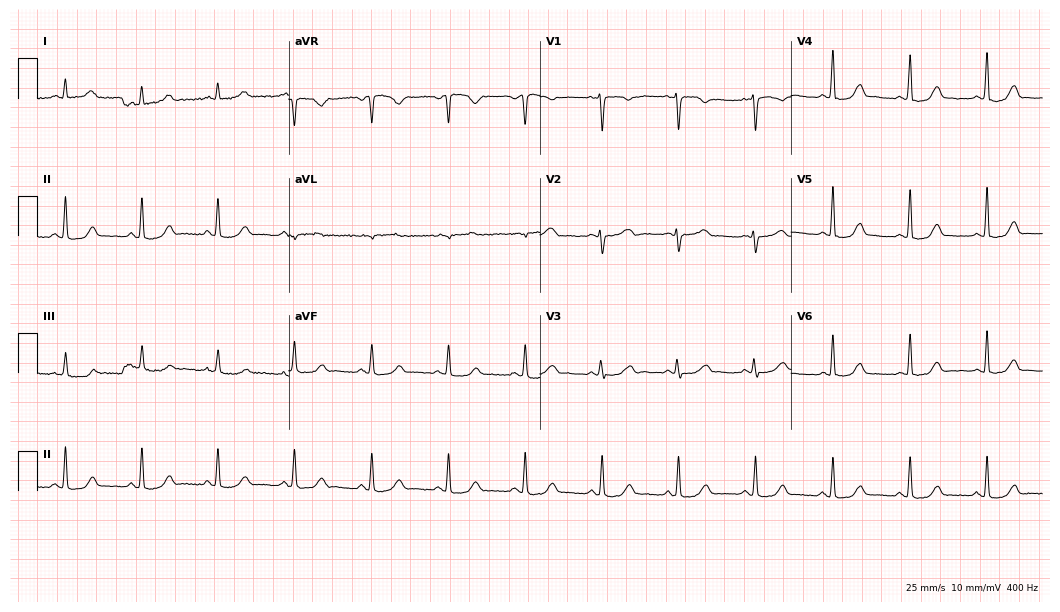
12-lead ECG from a 47-year-old woman. Recorded interpretation: within normal limits.